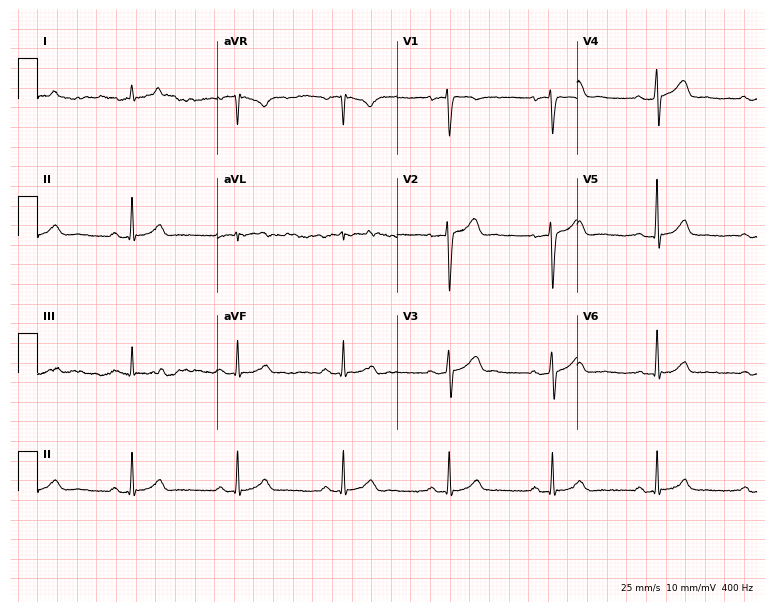
Electrocardiogram (7.3-second recording at 400 Hz), a man, 40 years old. Overall reading on record: normal ECG.